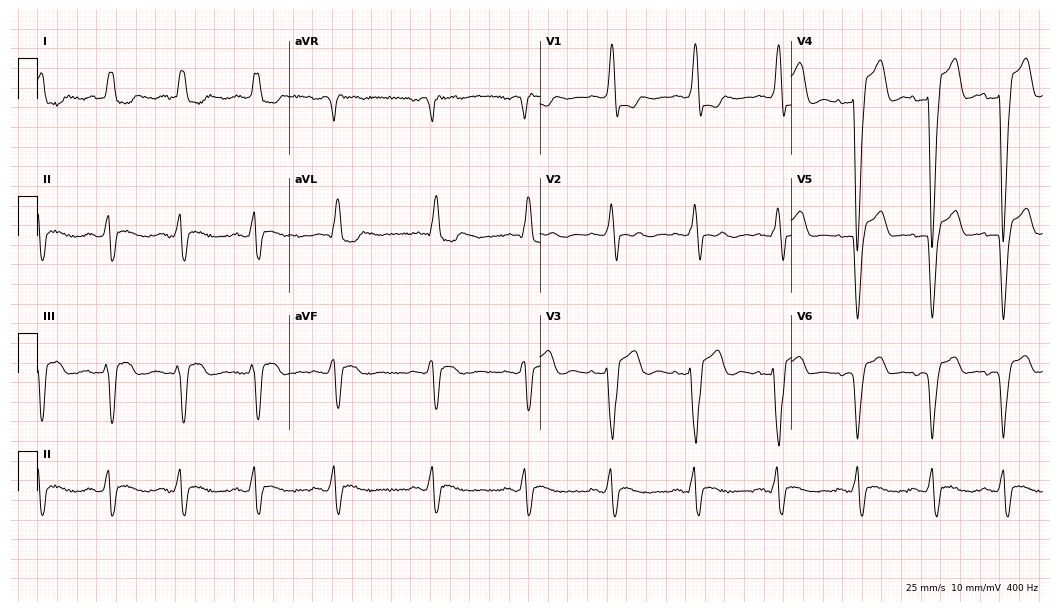
12-lead ECG (10.2-second recording at 400 Hz) from a 66-year-old female patient. Findings include left bundle branch block (LBBB), atrial fibrillation (AF).